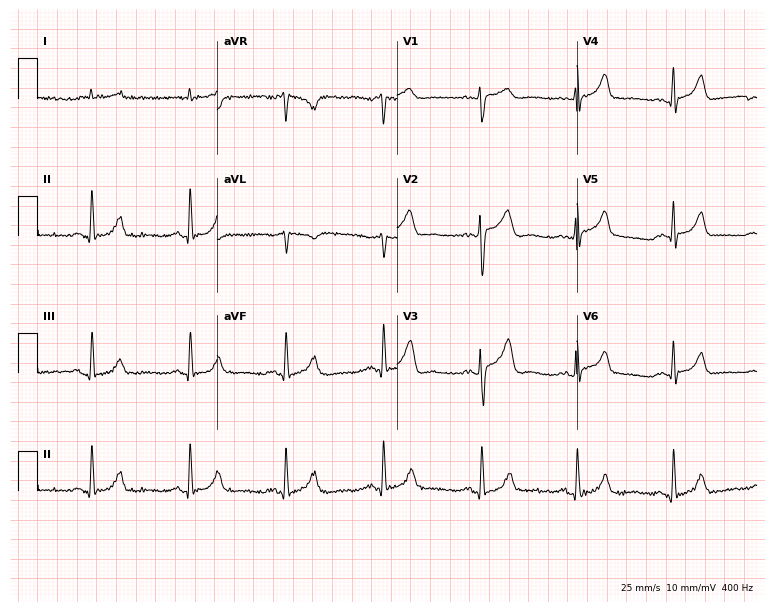
Electrocardiogram, a 76-year-old male patient. Of the six screened findings (first-degree AV block, right bundle branch block, left bundle branch block, sinus bradycardia, atrial fibrillation, sinus tachycardia), none is recorded.